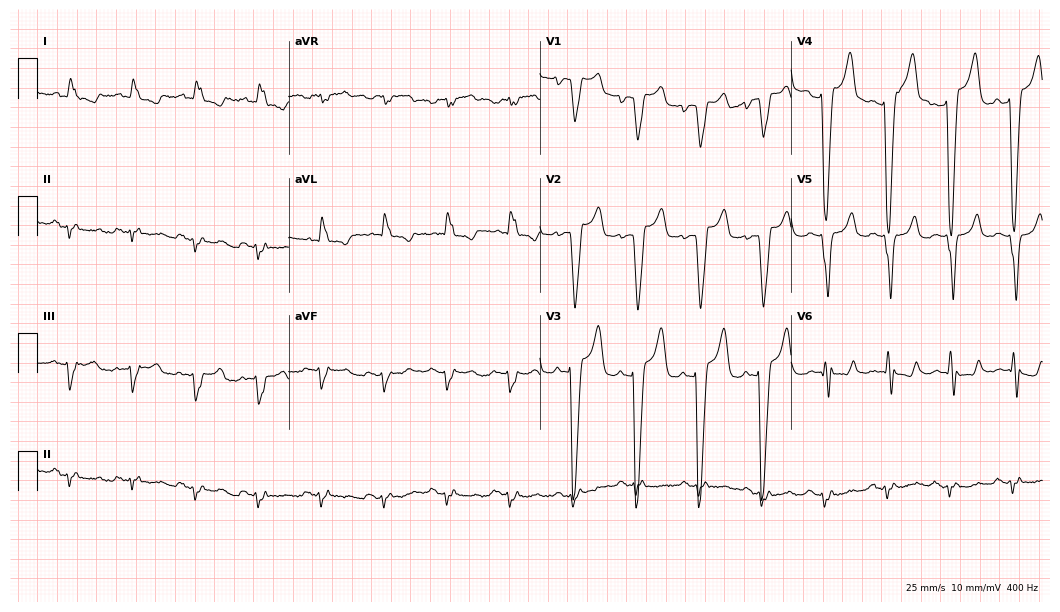
12-lead ECG from a woman, 61 years old. Screened for six findings — first-degree AV block, right bundle branch block, left bundle branch block, sinus bradycardia, atrial fibrillation, sinus tachycardia — none is recorded. Only these six findings were labelled.